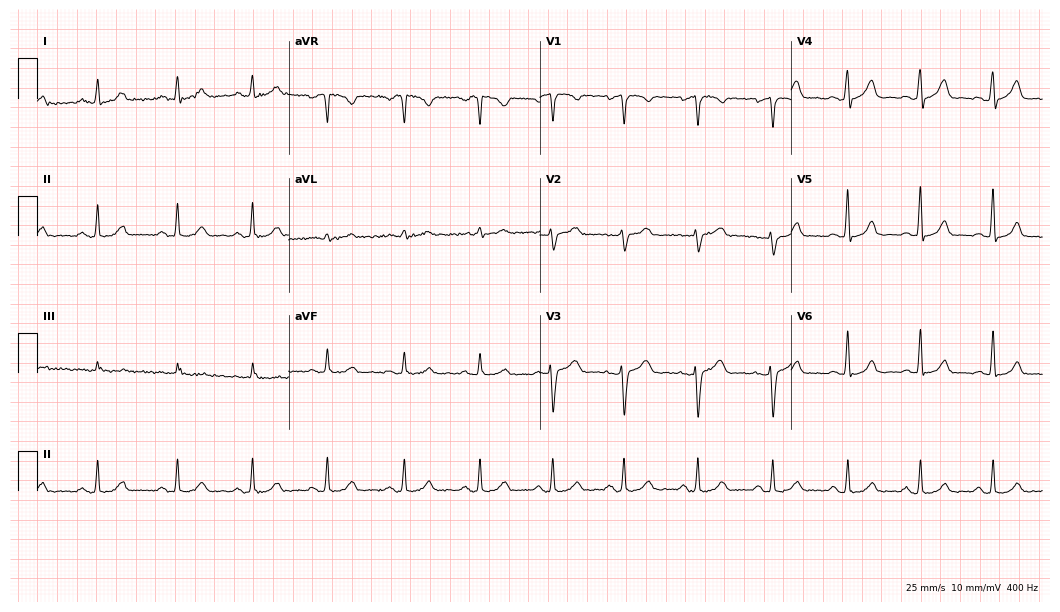
Standard 12-lead ECG recorded from a 34-year-old female patient. Read as a normal ECG.